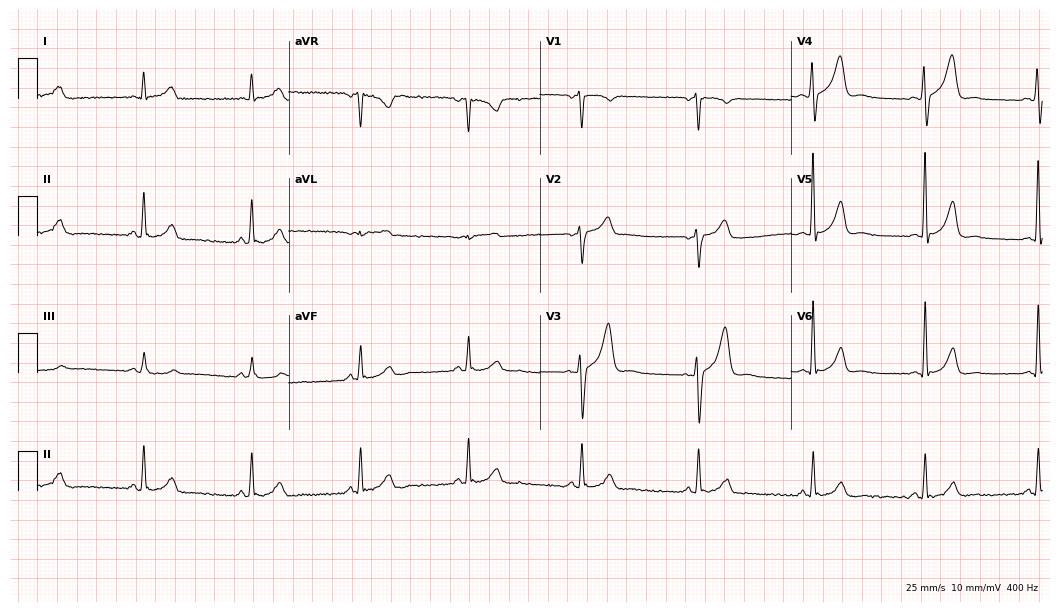
Electrocardiogram, a 63-year-old male. Overall reading on record: normal ECG.